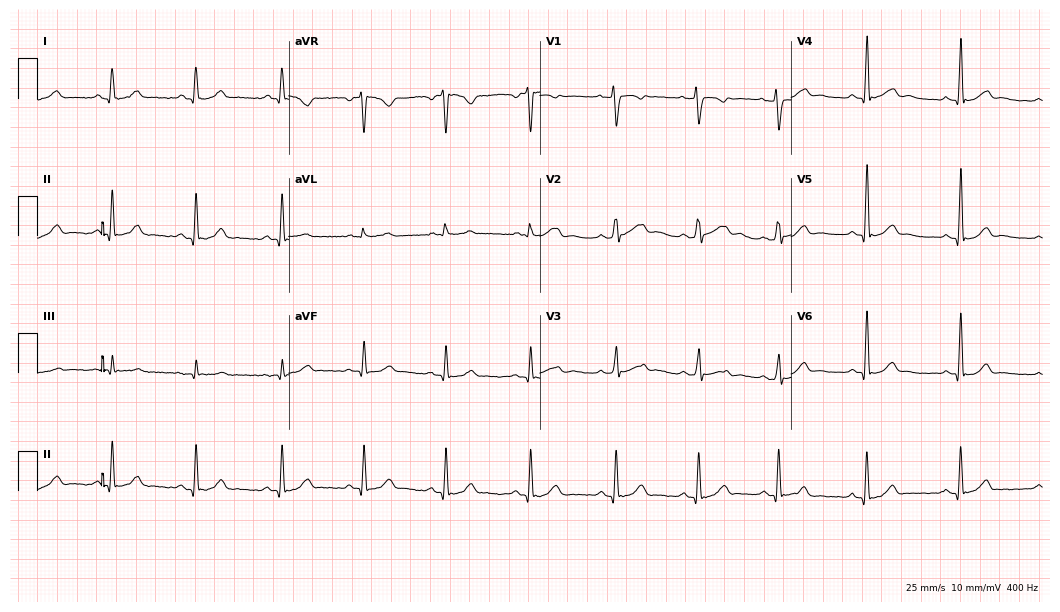
12-lead ECG from a female patient, 29 years old. Labelled as a normal ECG.